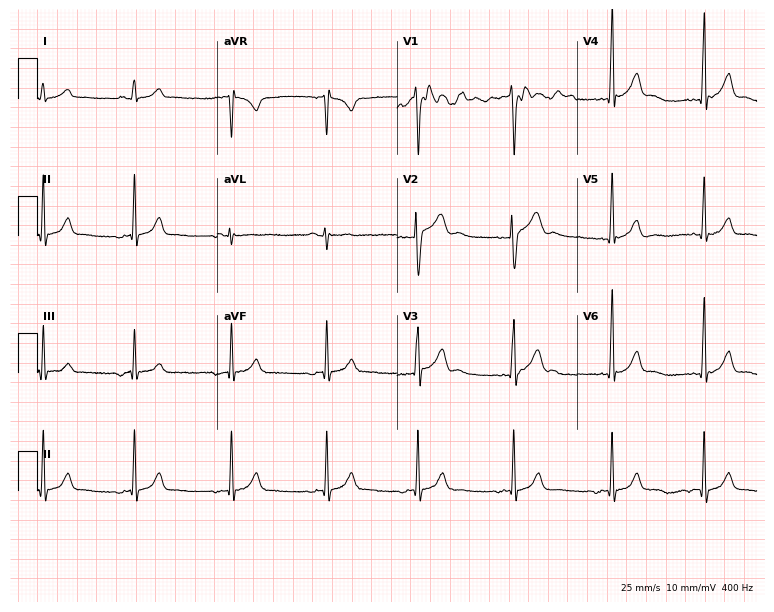
Electrocardiogram (7.3-second recording at 400 Hz), a 20-year-old male. Of the six screened findings (first-degree AV block, right bundle branch block, left bundle branch block, sinus bradycardia, atrial fibrillation, sinus tachycardia), none is recorded. Only these six findings were labelled.